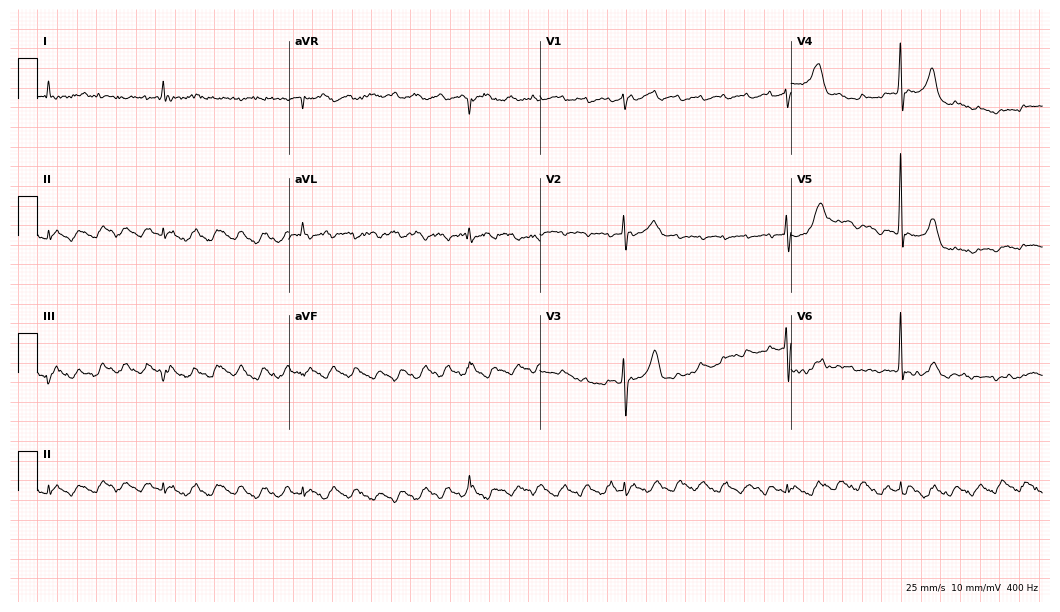
12-lead ECG from an 80-year-old male (10.2-second recording at 400 Hz). No first-degree AV block, right bundle branch block, left bundle branch block, sinus bradycardia, atrial fibrillation or sinus tachycardia recorded for this tracing.